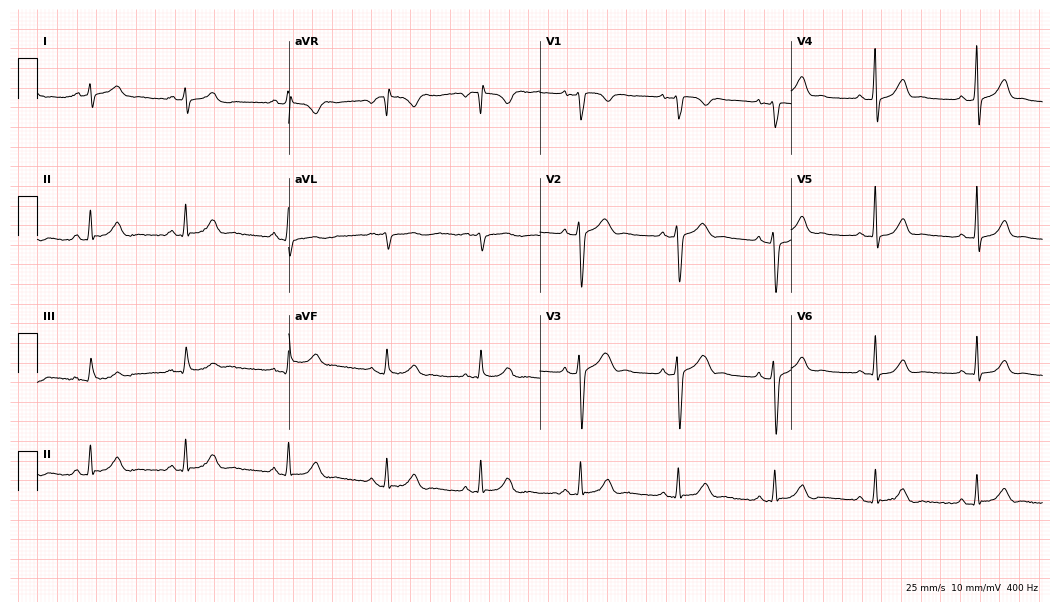
Resting 12-lead electrocardiogram (10.2-second recording at 400 Hz). Patient: a 30-year-old male. Read as a normal ECG.